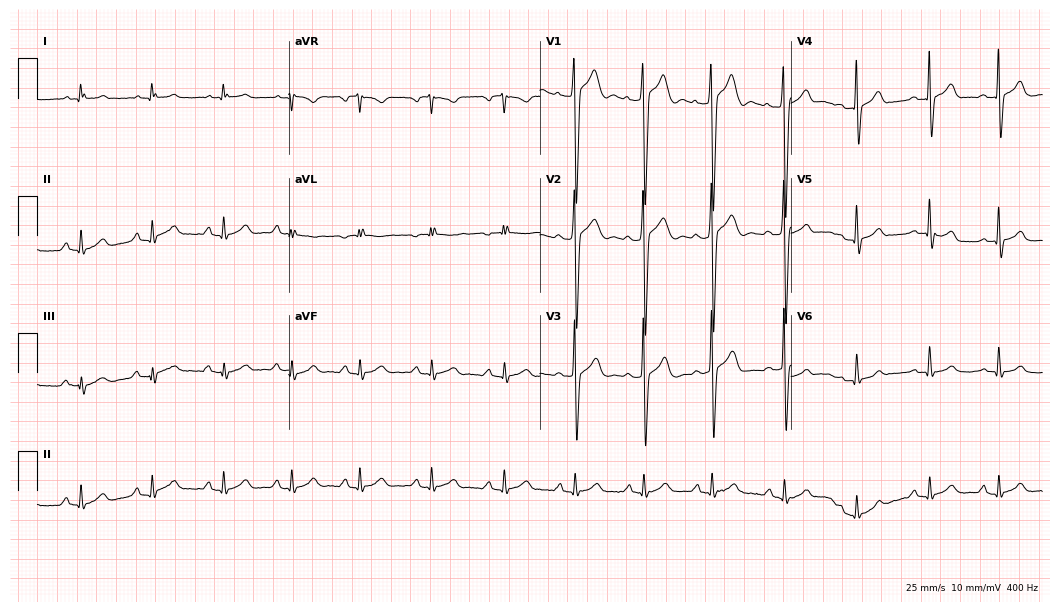
Resting 12-lead electrocardiogram. Patient: a 19-year-old male. Read as a normal ECG.